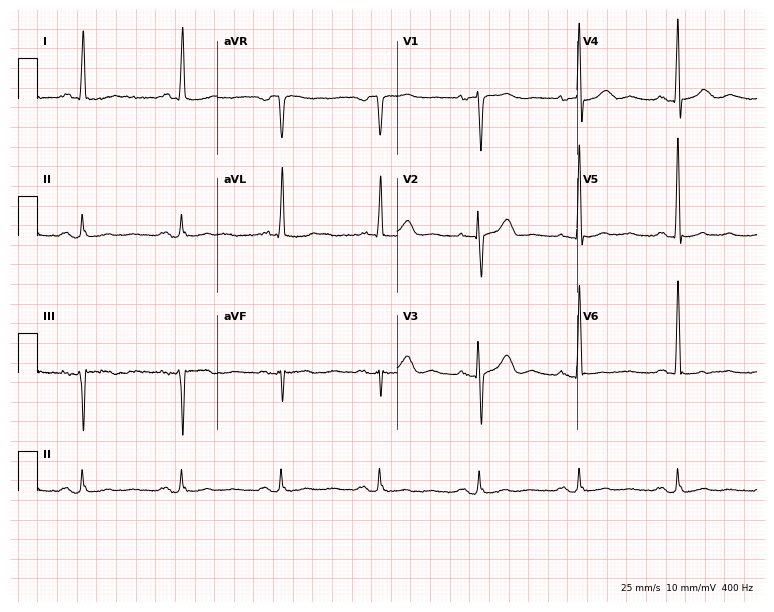
ECG — a female, 72 years old. Screened for six findings — first-degree AV block, right bundle branch block, left bundle branch block, sinus bradycardia, atrial fibrillation, sinus tachycardia — none is recorded.